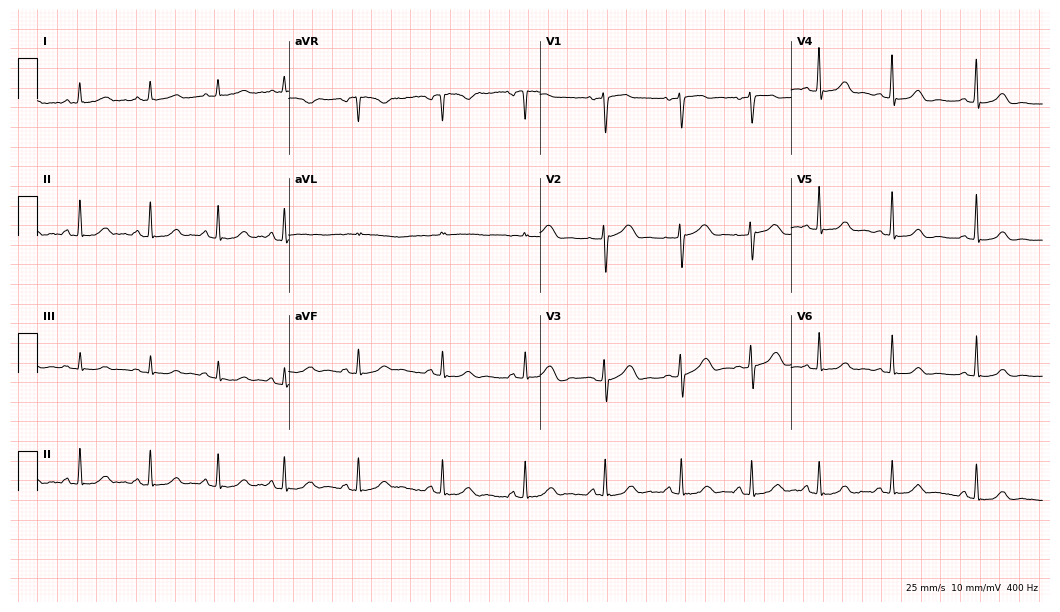
Electrocardiogram (10.2-second recording at 400 Hz), a 46-year-old female patient. Overall reading on record: normal ECG.